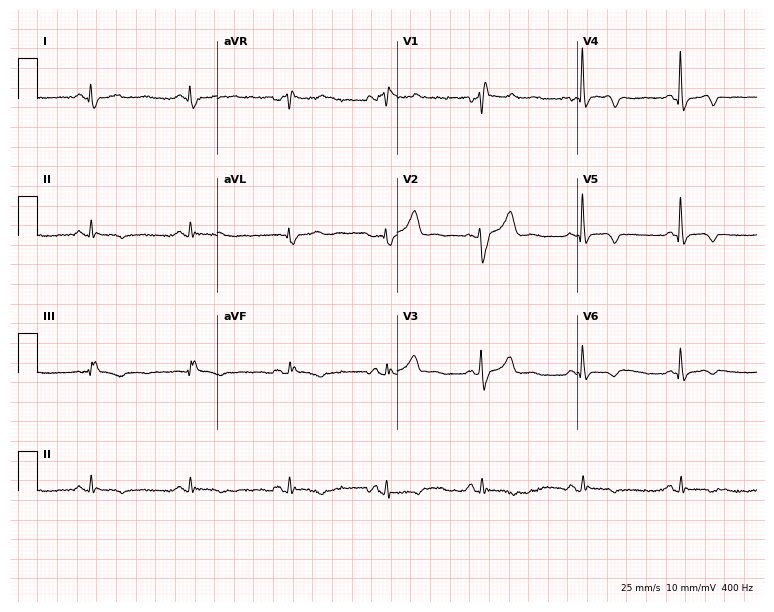
12-lead ECG from a woman, 56 years old. Screened for six findings — first-degree AV block, right bundle branch block, left bundle branch block, sinus bradycardia, atrial fibrillation, sinus tachycardia — none is recorded. Only these six findings were labelled.